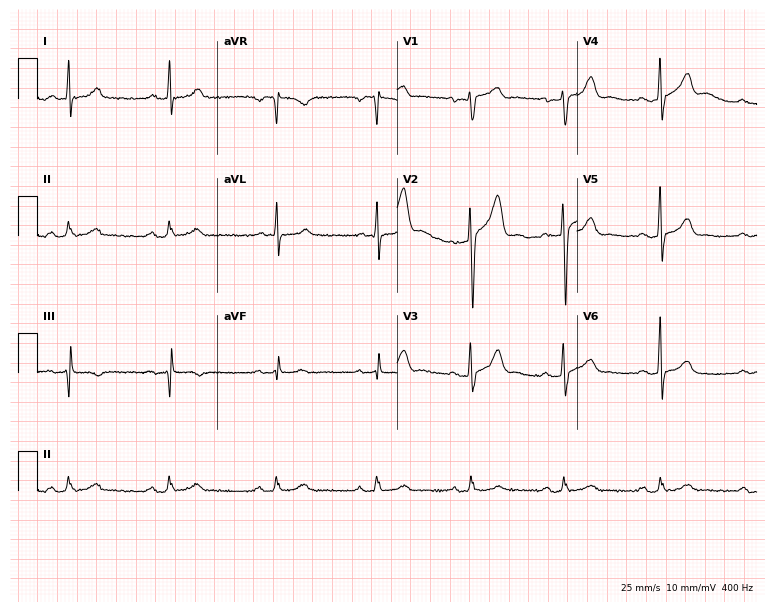
Electrocardiogram, a 49-year-old male. Of the six screened findings (first-degree AV block, right bundle branch block (RBBB), left bundle branch block (LBBB), sinus bradycardia, atrial fibrillation (AF), sinus tachycardia), none is recorded. Findings outside these six are not listed.